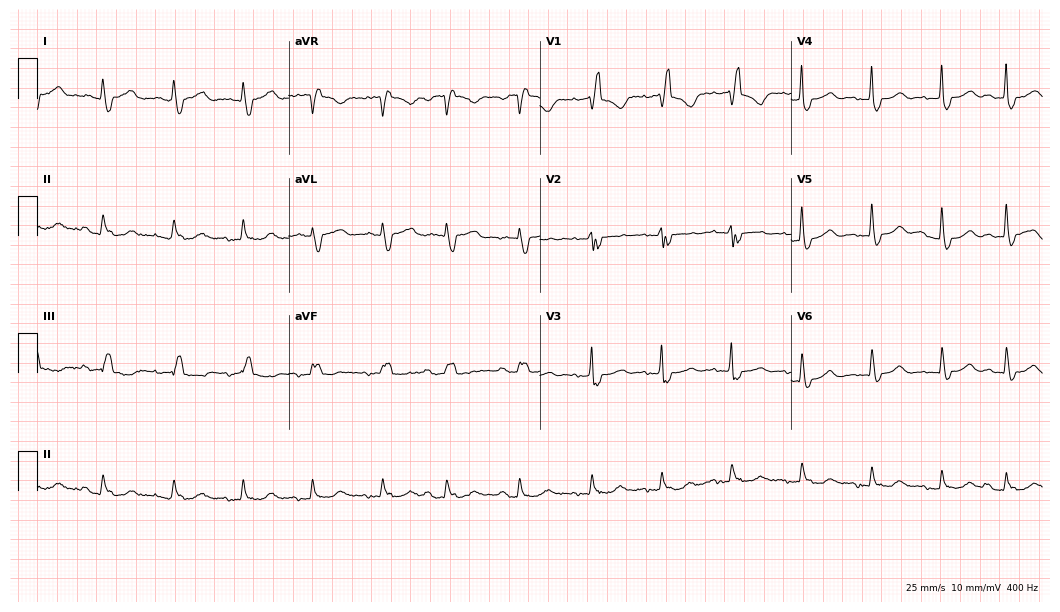
12-lead ECG from a woman, 77 years old (10.2-second recording at 400 Hz). Shows right bundle branch block.